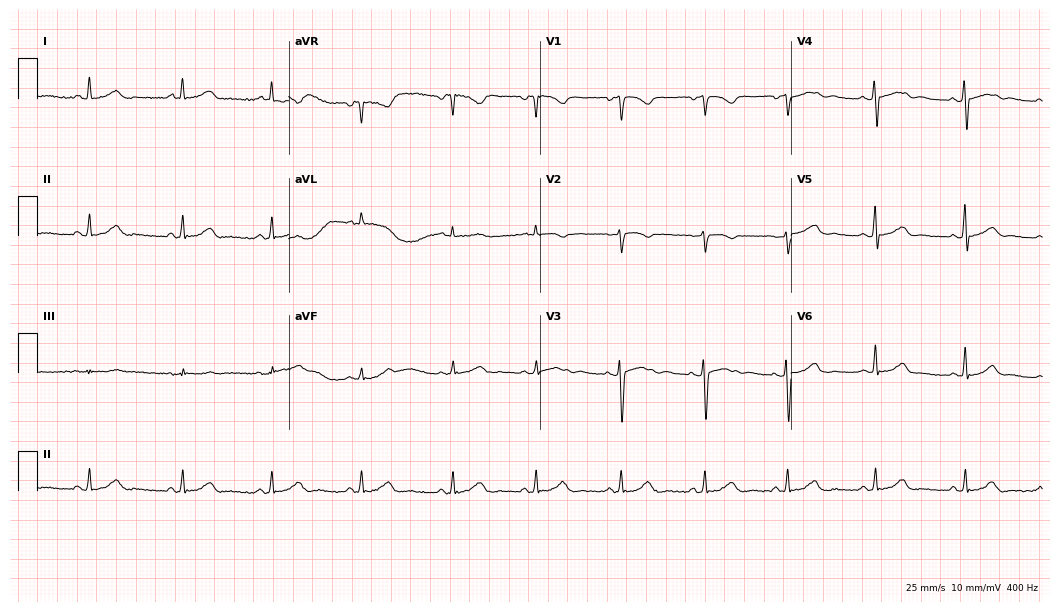
Electrocardiogram (10.2-second recording at 400 Hz), a 47-year-old woman. Overall reading on record: normal ECG.